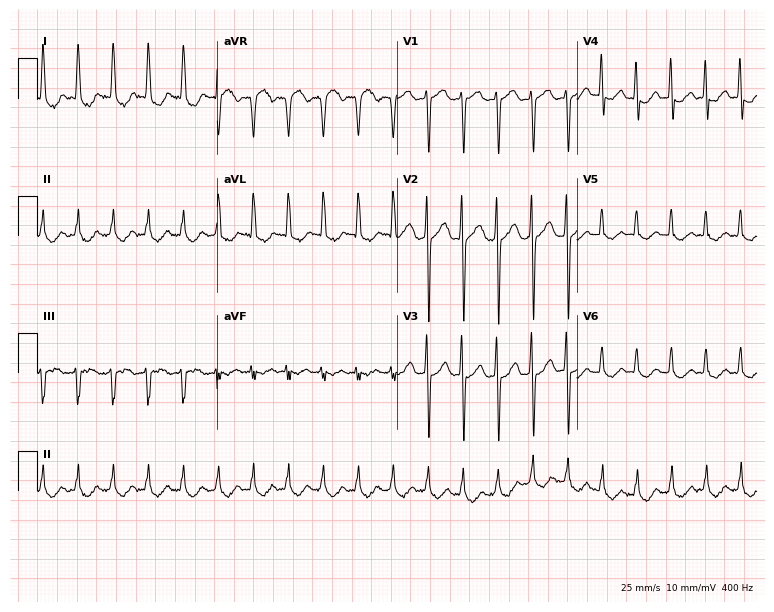
ECG (7.3-second recording at 400 Hz) — a 61-year-old female. Findings include sinus tachycardia (a sinus rate of 100 beats per minute or more).